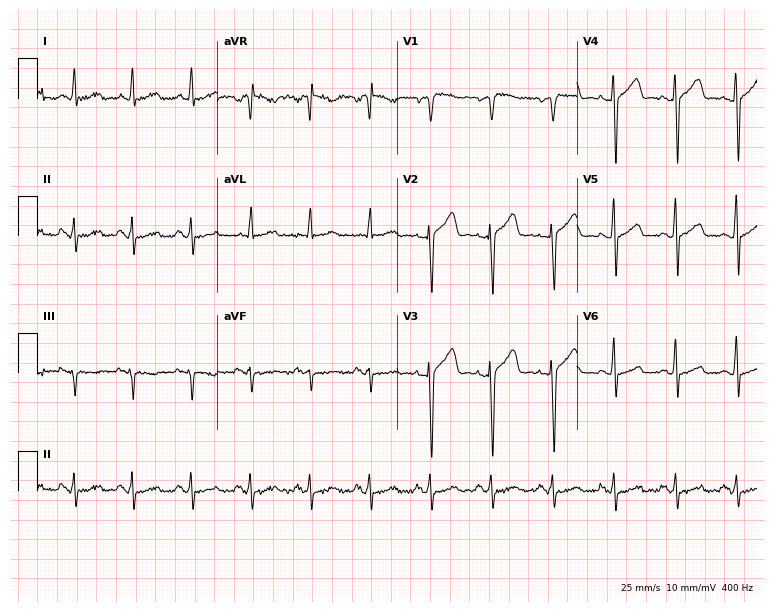
12-lead ECG from a 48-year-old male. Recorded interpretation: within normal limits.